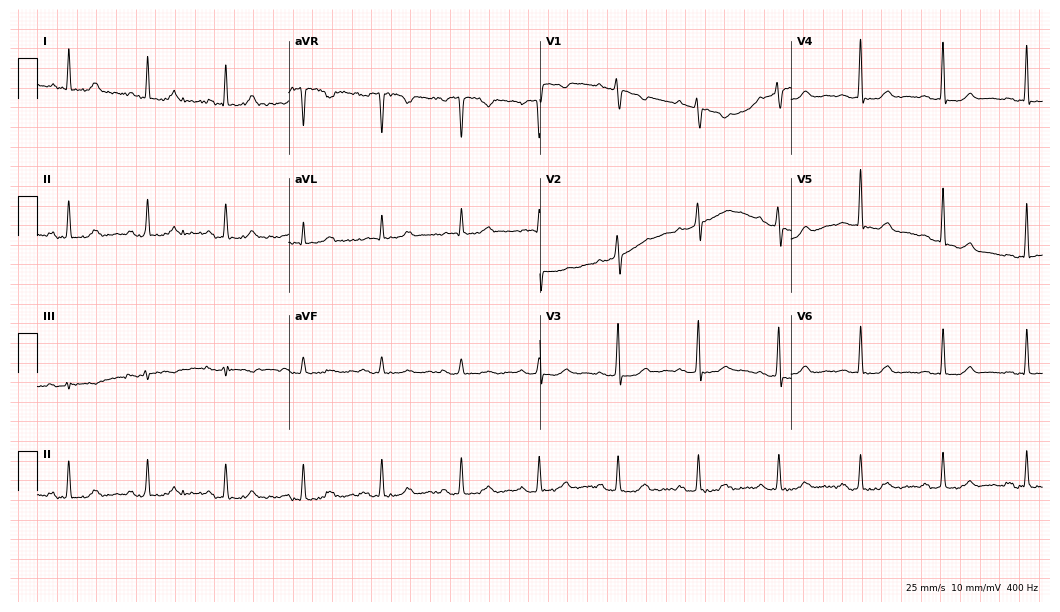
Resting 12-lead electrocardiogram. Patient: a female, 54 years old. Read as a normal ECG.